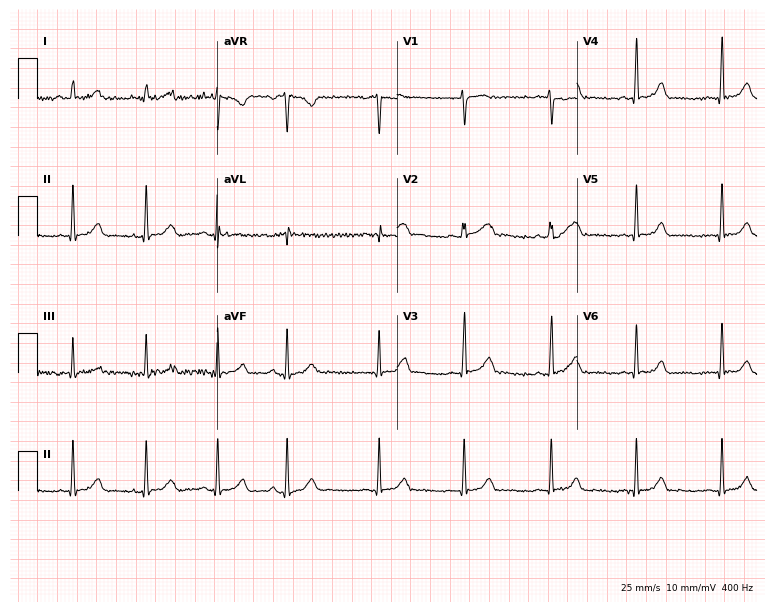
12-lead ECG from a 25-year-old woman. Screened for six findings — first-degree AV block, right bundle branch block, left bundle branch block, sinus bradycardia, atrial fibrillation, sinus tachycardia — none is recorded. Only these six findings were labelled.